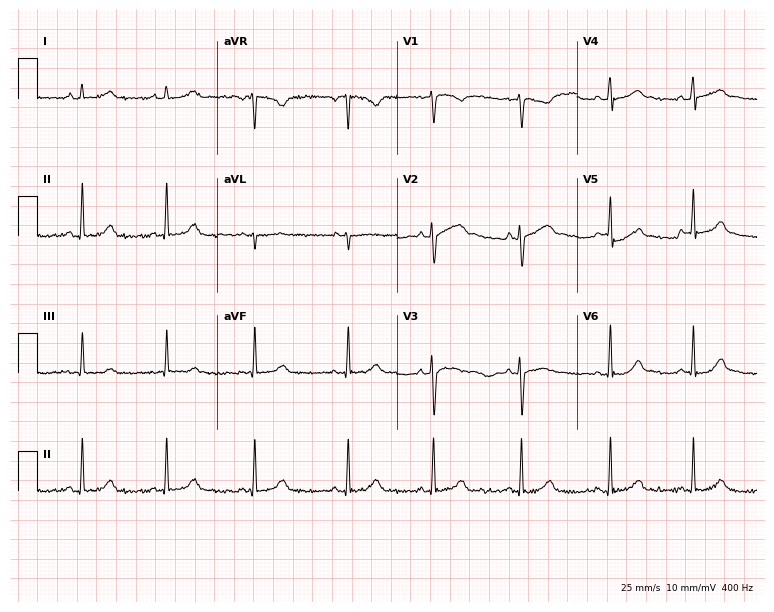
12-lead ECG (7.3-second recording at 400 Hz) from a female, 24 years old. Labelled as a normal ECG.